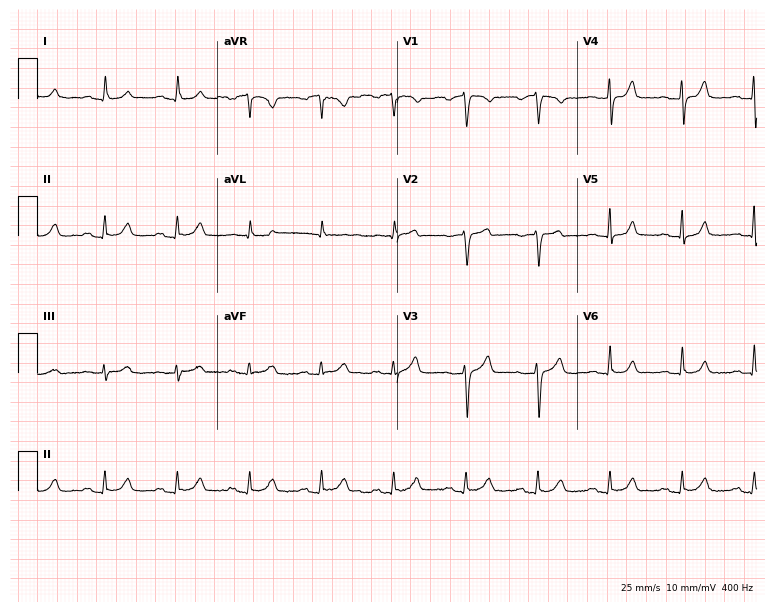
12-lead ECG (7.3-second recording at 400 Hz) from a male, 76 years old. Labelled as a normal ECG.